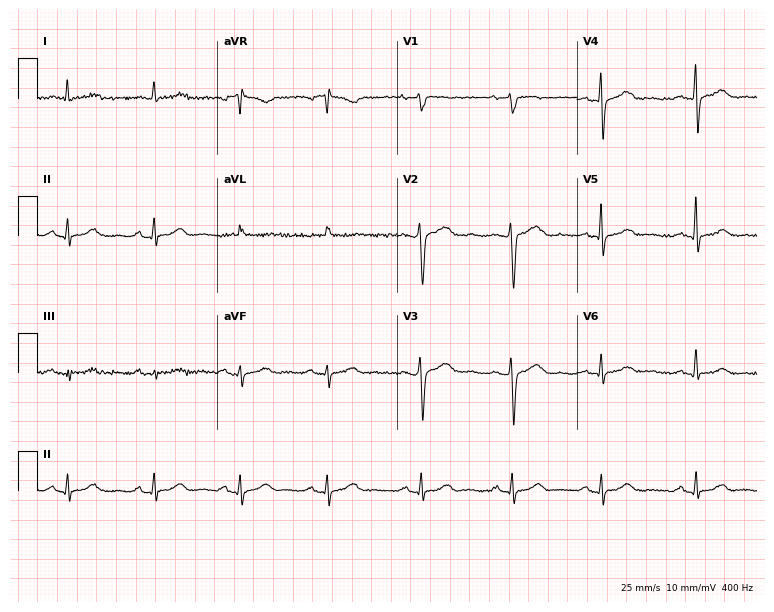
12-lead ECG from a male patient, 76 years old. Labelled as a normal ECG.